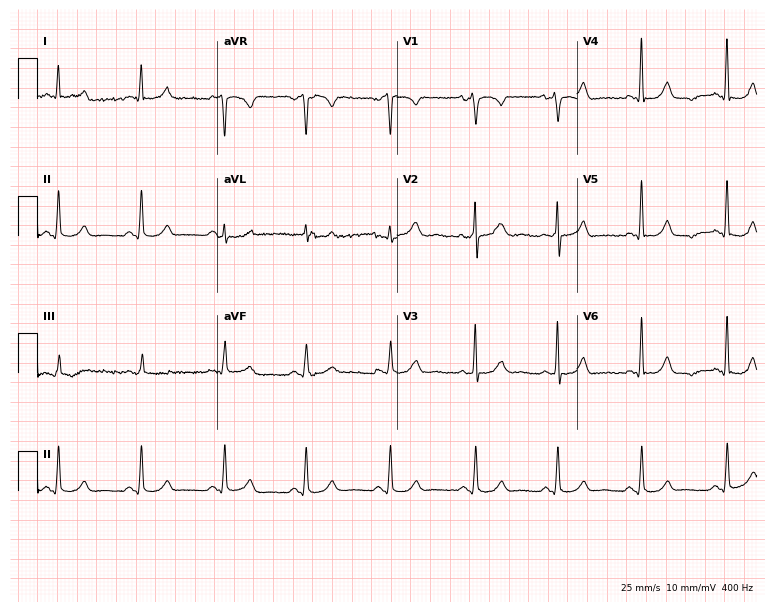
12-lead ECG from a 58-year-old female. Recorded interpretation: within normal limits.